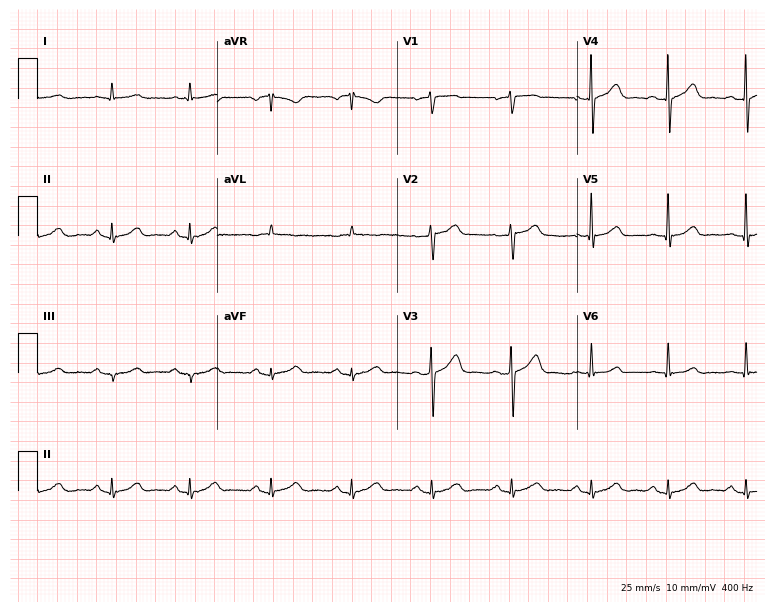
Resting 12-lead electrocardiogram (7.3-second recording at 400 Hz). Patient: a male, 62 years old. None of these six findings is recorded: first-degree AV block, right bundle branch block (RBBB), left bundle branch block (LBBB), sinus bradycardia, atrial fibrillation (AF), sinus tachycardia. Findings outside these six are not listed.